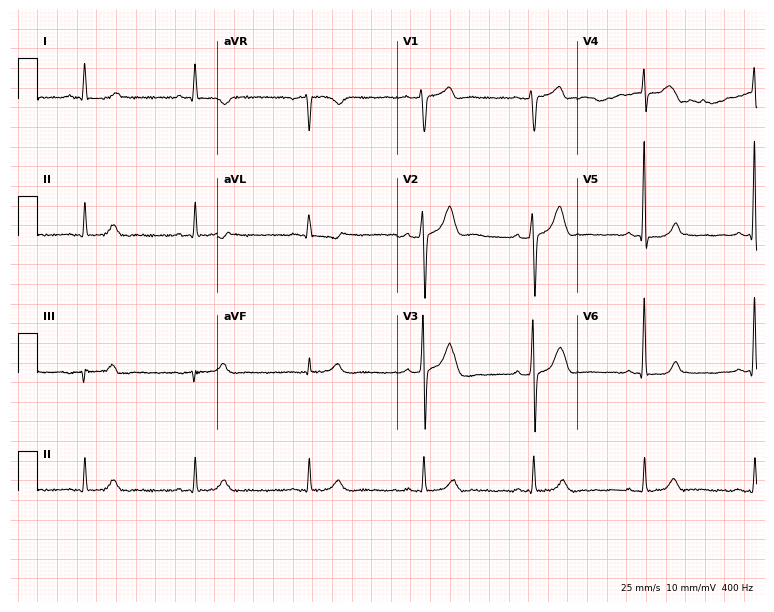
12-lead ECG from a 51-year-old man. No first-degree AV block, right bundle branch block, left bundle branch block, sinus bradycardia, atrial fibrillation or sinus tachycardia recorded for this tracing. Only these six findings were labelled.